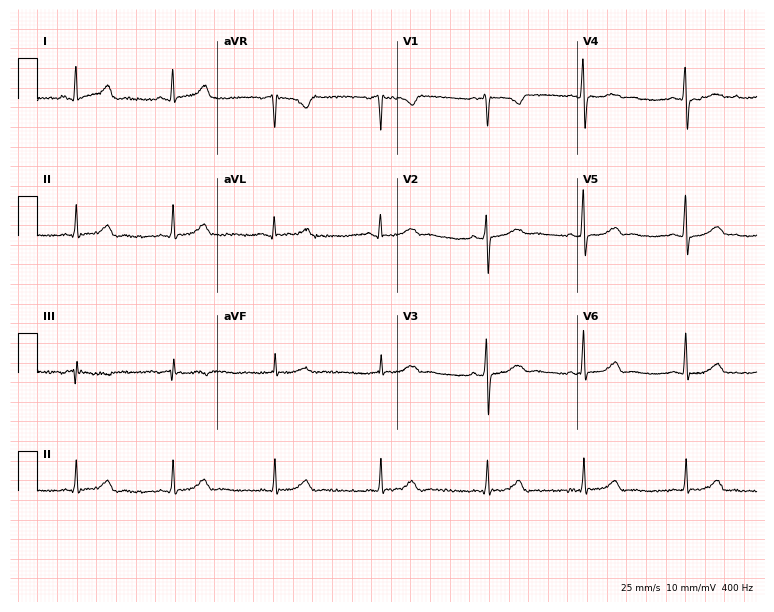
Resting 12-lead electrocardiogram. Patient: a 46-year-old female. None of these six findings is recorded: first-degree AV block, right bundle branch block (RBBB), left bundle branch block (LBBB), sinus bradycardia, atrial fibrillation (AF), sinus tachycardia. Only these six findings were labelled.